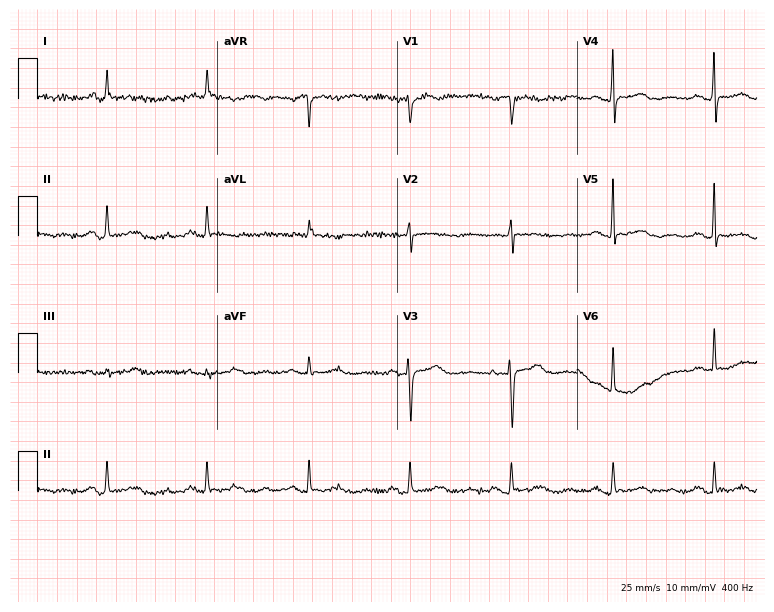
Electrocardiogram, a 69-year-old female patient. Of the six screened findings (first-degree AV block, right bundle branch block, left bundle branch block, sinus bradycardia, atrial fibrillation, sinus tachycardia), none is recorded.